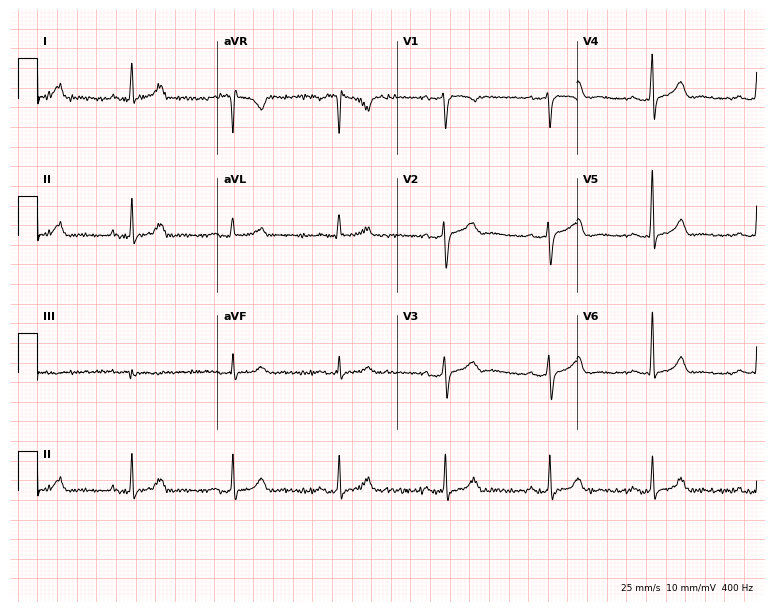
ECG — a female, 46 years old. Labelled as a normal ECG.